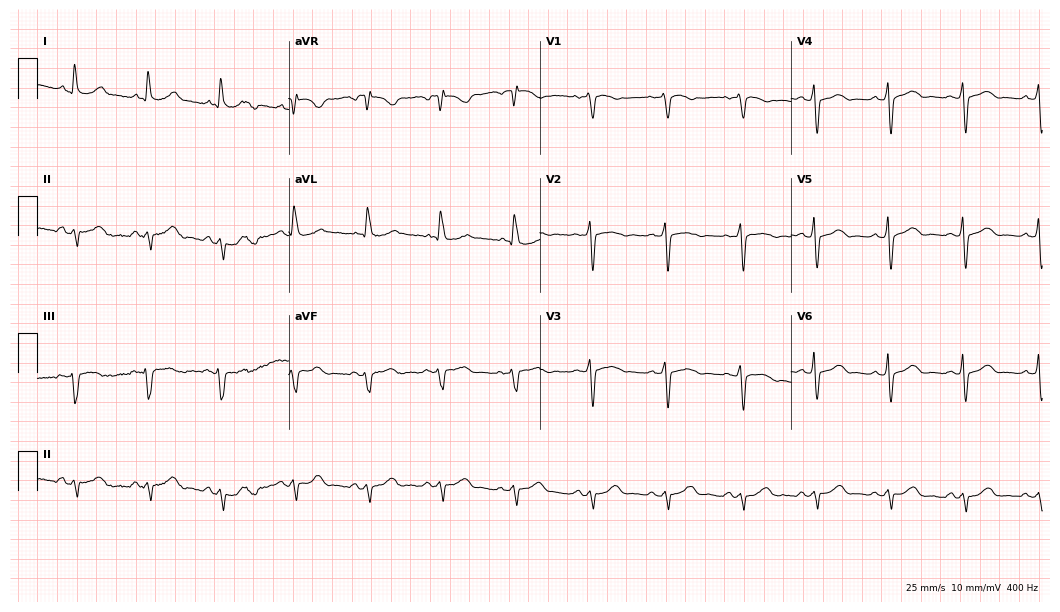
12-lead ECG from a female patient, 78 years old. No first-degree AV block, right bundle branch block (RBBB), left bundle branch block (LBBB), sinus bradycardia, atrial fibrillation (AF) or sinus tachycardia recorded for this tracing.